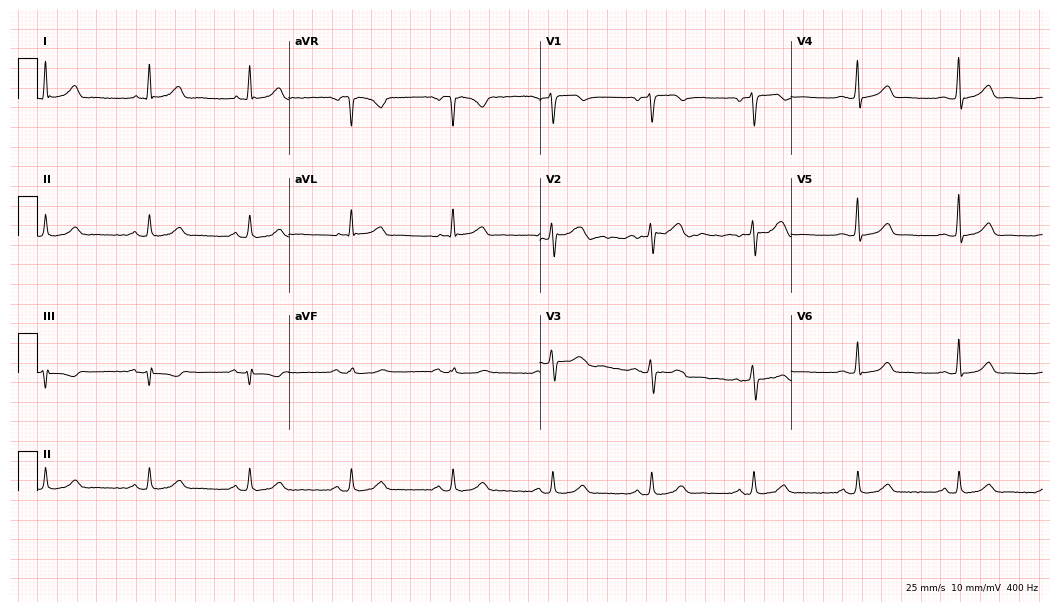
ECG (10.2-second recording at 400 Hz) — a male patient, 54 years old. Labelled as a normal ECG.